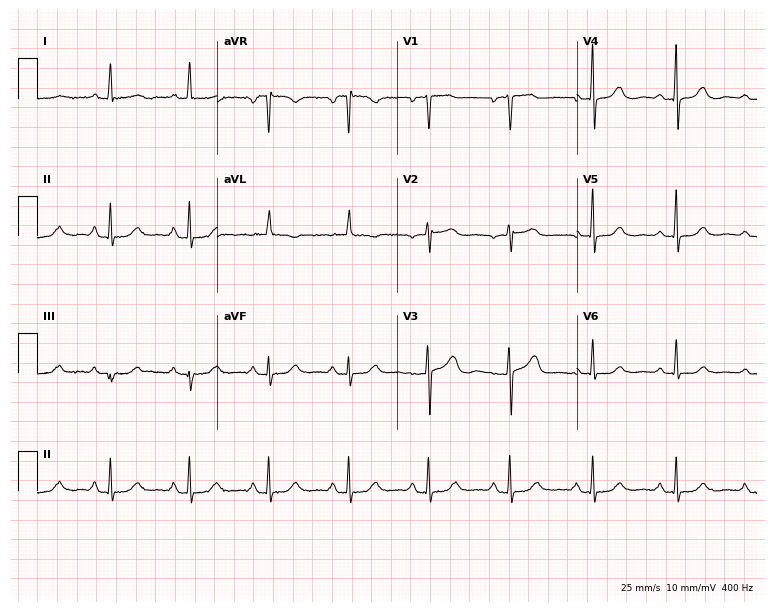
Electrocardiogram, a 63-year-old female. Overall reading on record: normal ECG.